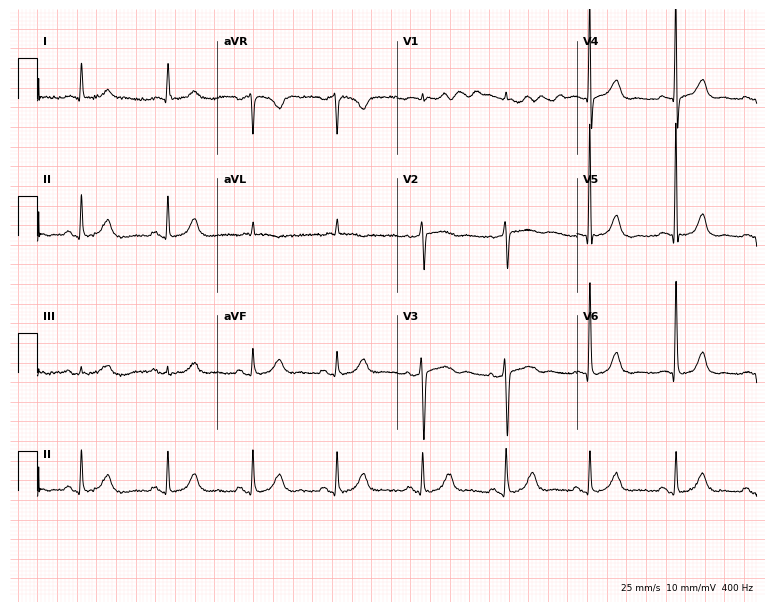
12-lead ECG from a female patient, 76 years old (7.3-second recording at 400 Hz). Recorded interpretation: within normal limits.